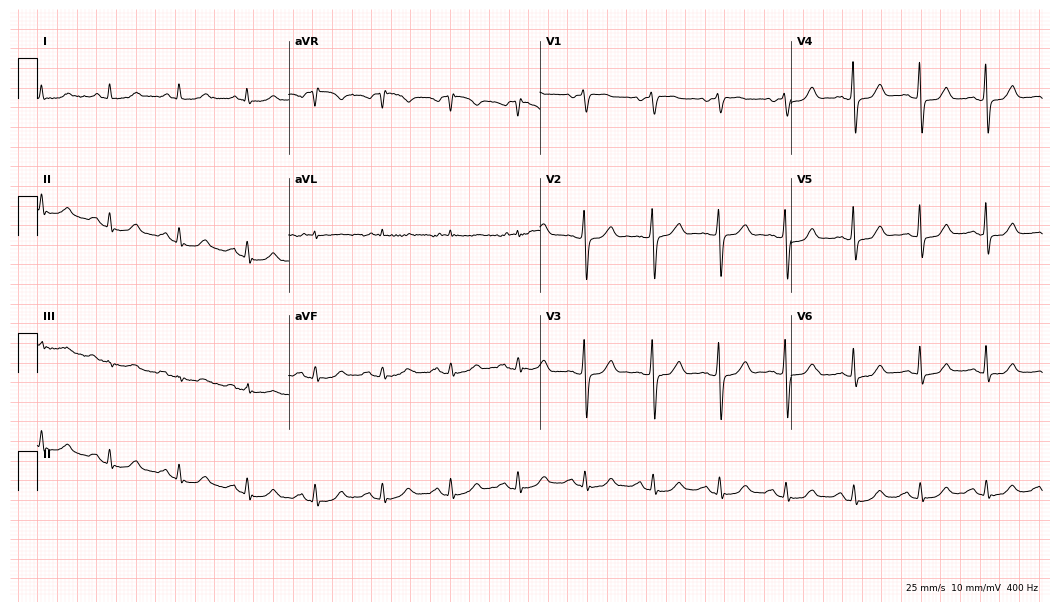
Resting 12-lead electrocardiogram. Patient: a male, 80 years old. Read as a normal ECG.